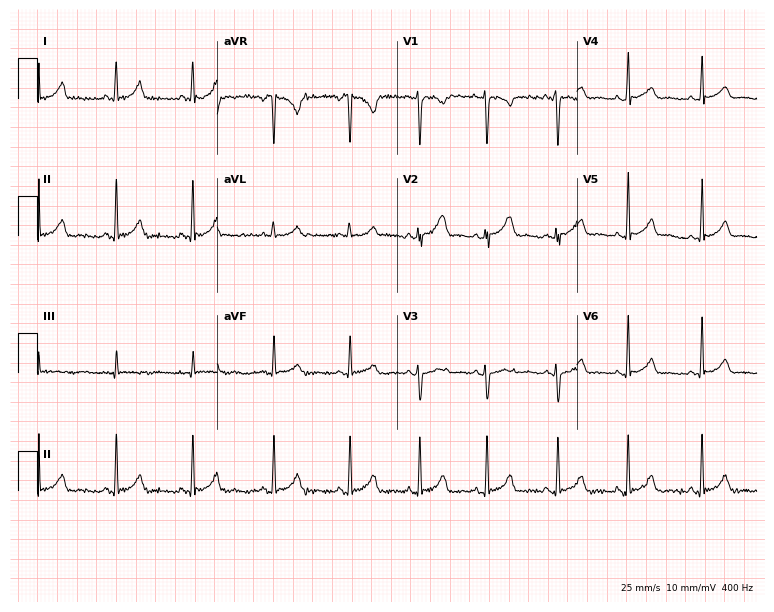
12-lead ECG from a woman, 24 years old (7.3-second recording at 400 Hz). Recorded interpretation: within normal limits.